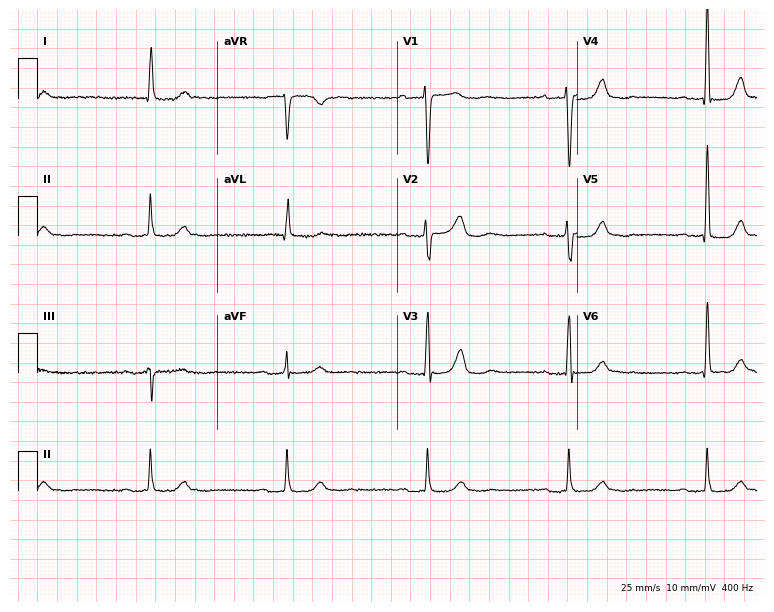
ECG (7.3-second recording at 400 Hz) — a woman, 79 years old. Findings include sinus bradycardia (a sinus rate of 50 beats per minute or less).